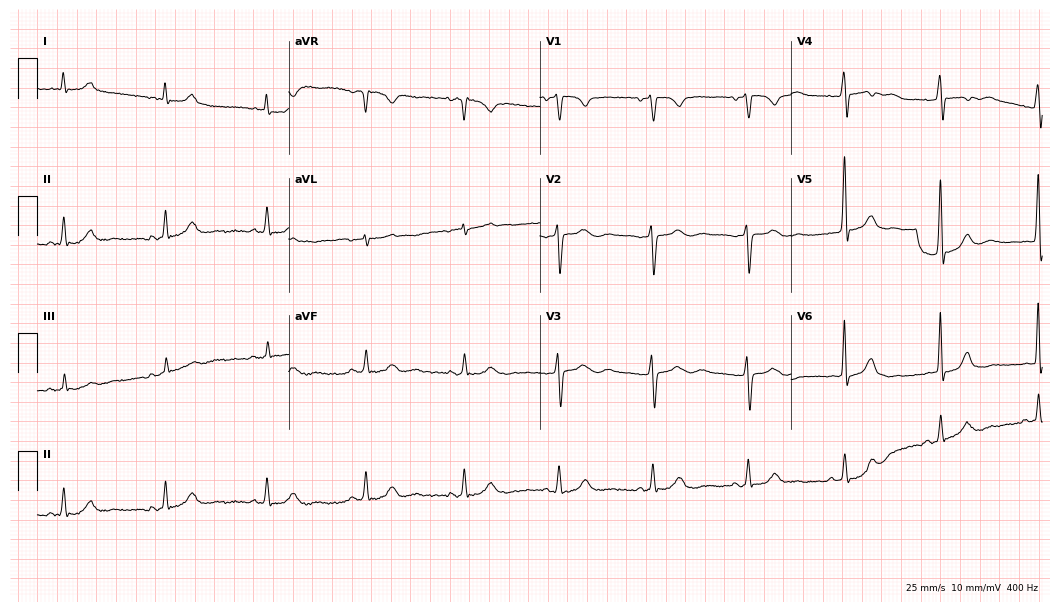
12-lead ECG (10.2-second recording at 400 Hz) from a woman, 72 years old. Labelled as a normal ECG.